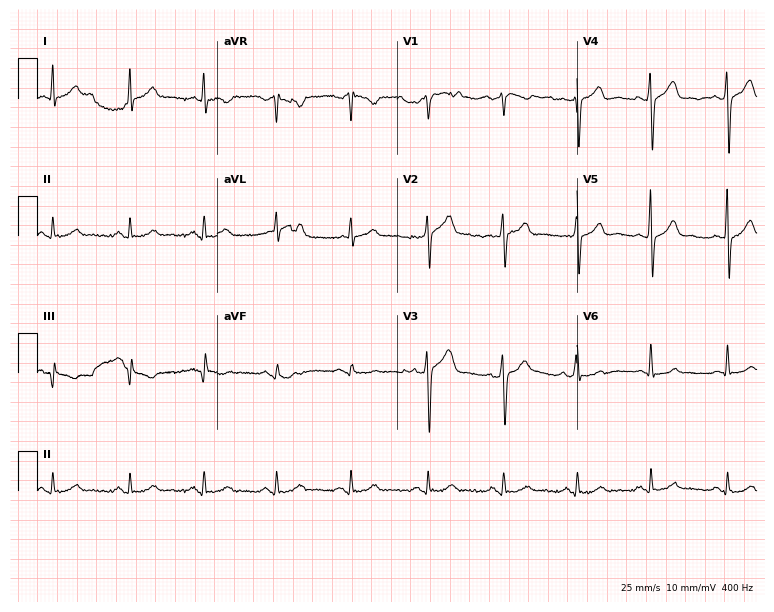
Standard 12-lead ECG recorded from a 54-year-old male patient (7.3-second recording at 400 Hz). Read as a normal ECG.